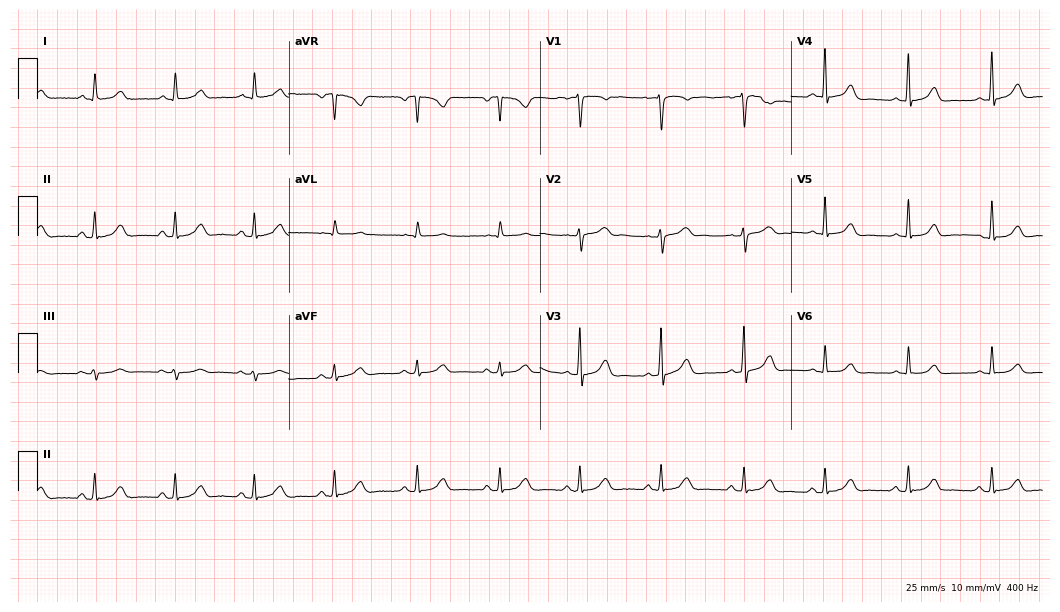
Electrocardiogram, a 43-year-old woman. Overall reading on record: normal ECG.